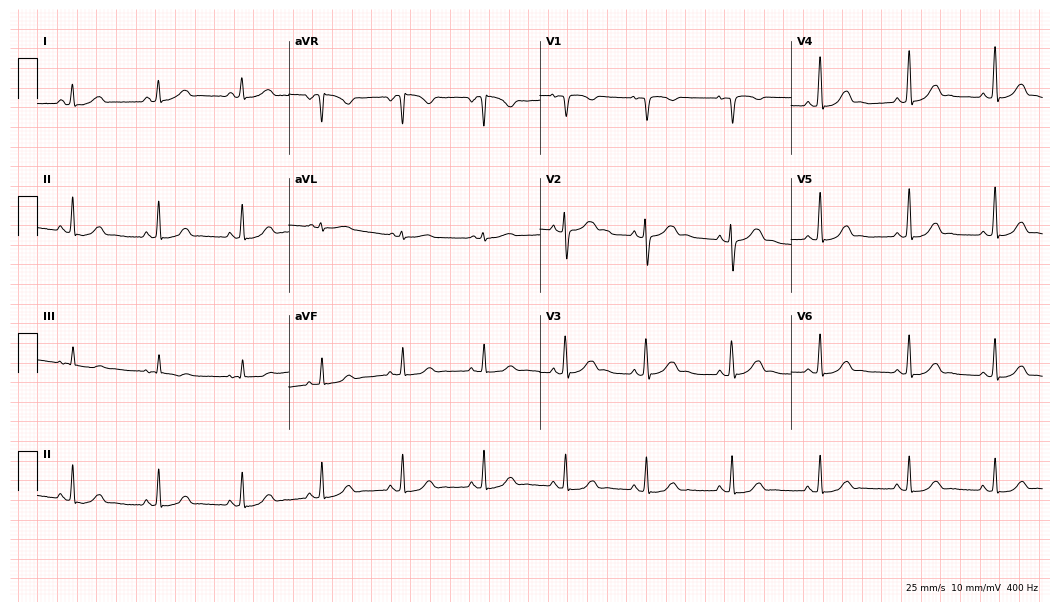
Resting 12-lead electrocardiogram (10.2-second recording at 400 Hz). Patient: a male, 73 years old. Read as a normal ECG.